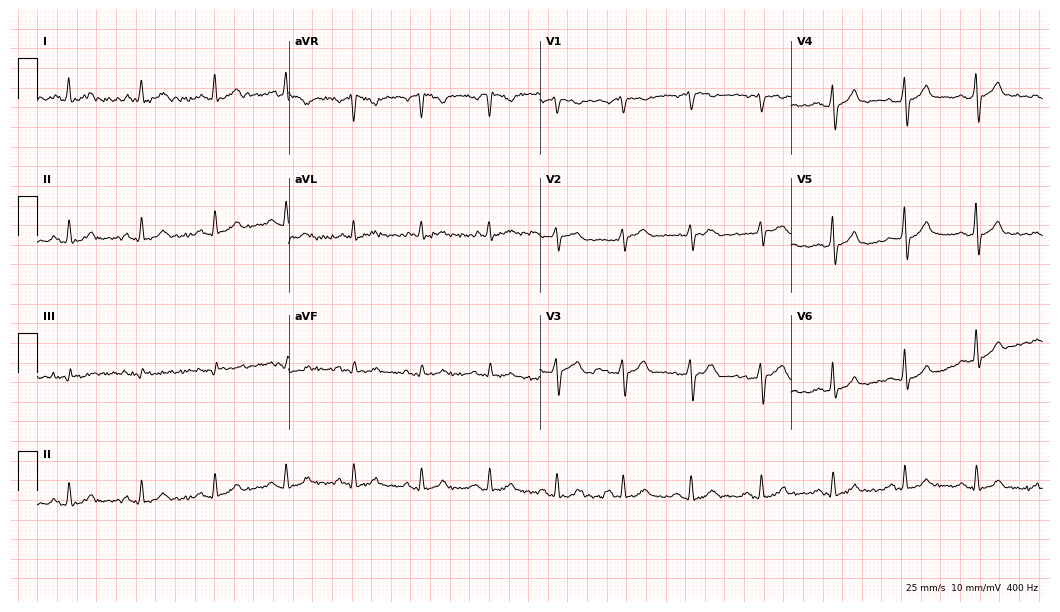
Resting 12-lead electrocardiogram. Patient: a 56-year-old male. Read as a normal ECG.